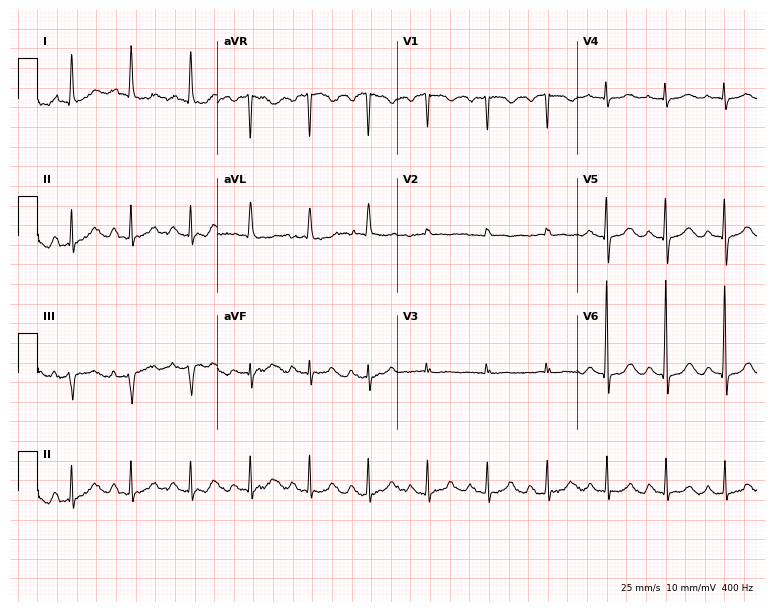
Standard 12-lead ECG recorded from a female, 85 years old (7.3-second recording at 400 Hz). Read as a normal ECG.